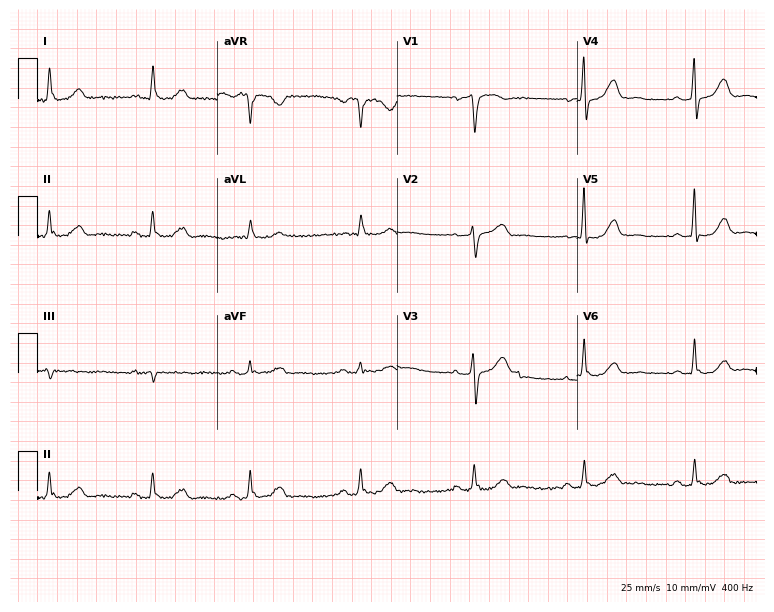
12-lead ECG (7.3-second recording at 400 Hz) from a woman, 76 years old. Screened for six findings — first-degree AV block, right bundle branch block (RBBB), left bundle branch block (LBBB), sinus bradycardia, atrial fibrillation (AF), sinus tachycardia — none is recorded. Findings outside these six are not listed.